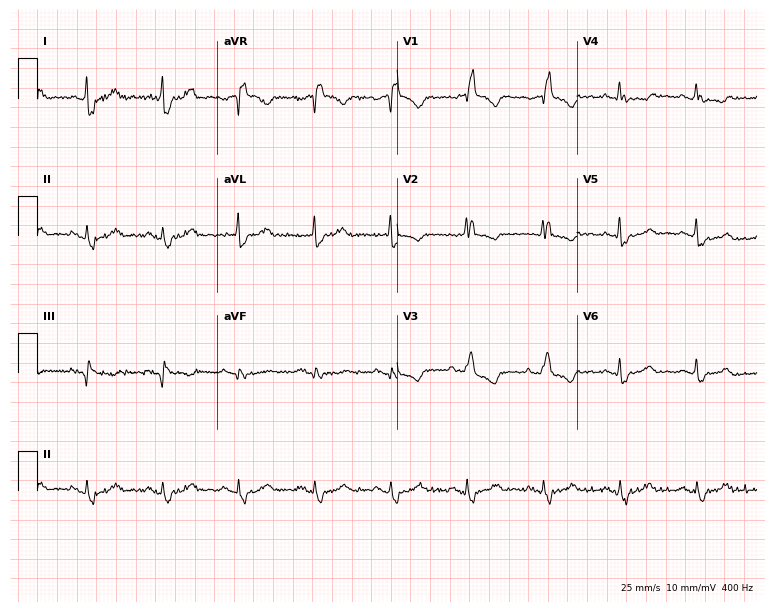
Standard 12-lead ECG recorded from a 72-year-old female (7.3-second recording at 400 Hz). The tracing shows right bundle branch block.